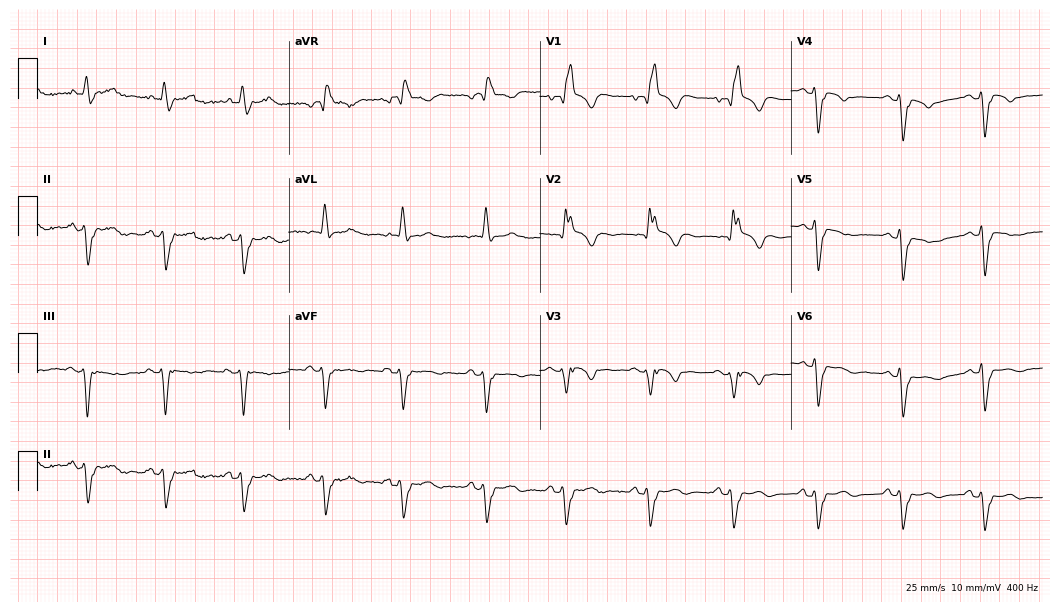
12-lead ECG from an 81-year-old male patient. Findings include right bundle branch block (RBBB).